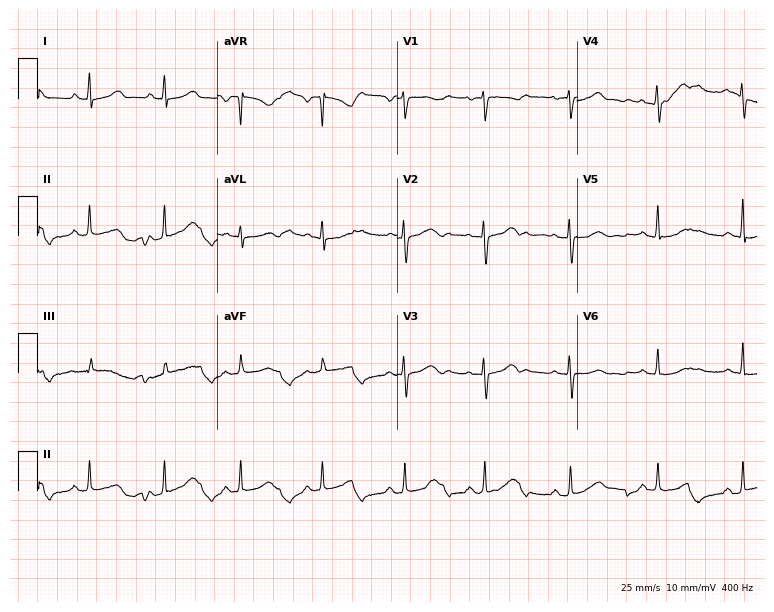
Resting 12-lead electrocardiogram (7.3-second recording at 400 Hz). Patient: a female, 28 years old. None of these six findings is recorded: first-degree AV block, right bundle branch block (RBBB), left bundle branch block (LBBB), sinus bradycardia, atrial fibrillation (AF), sinus tachycardia.